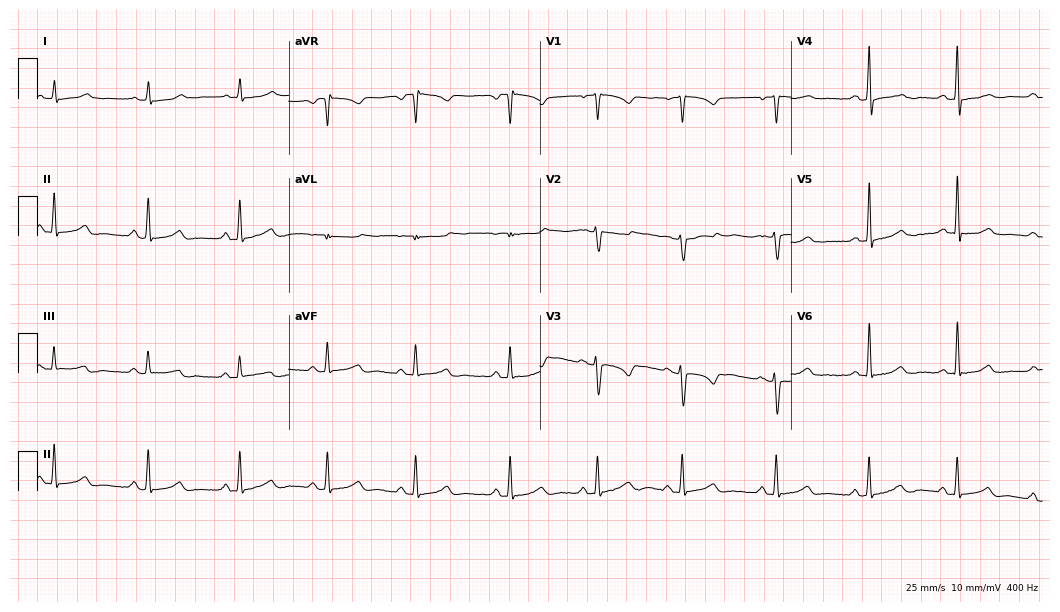
12-lead ECG from a female, 33 years old. Recorded interpretation: within normal limits.